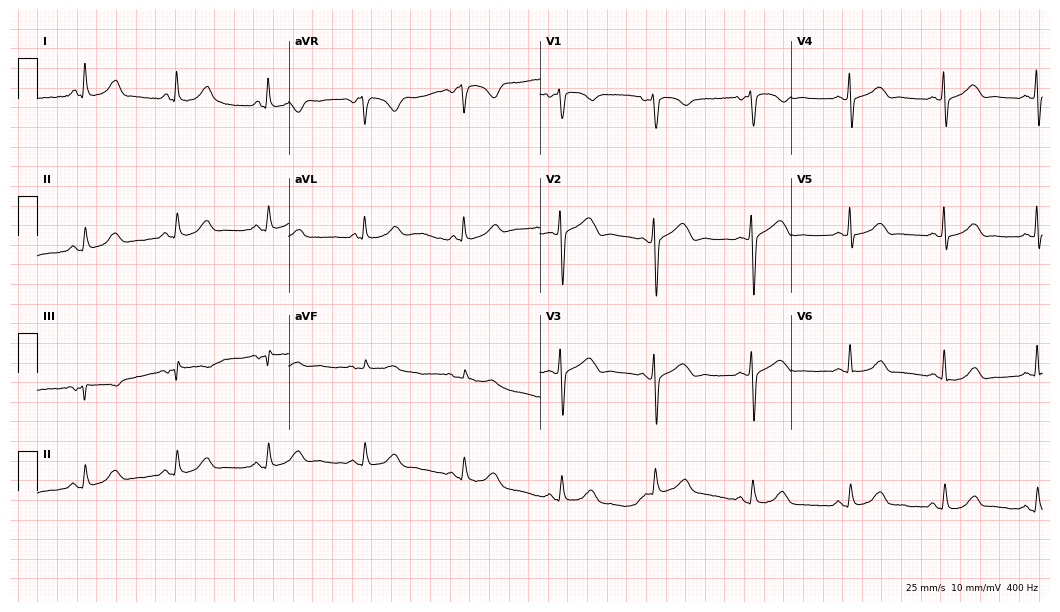
12-lead ECG from a woman, 55 years old. Recorded interpretation: within normal limits.